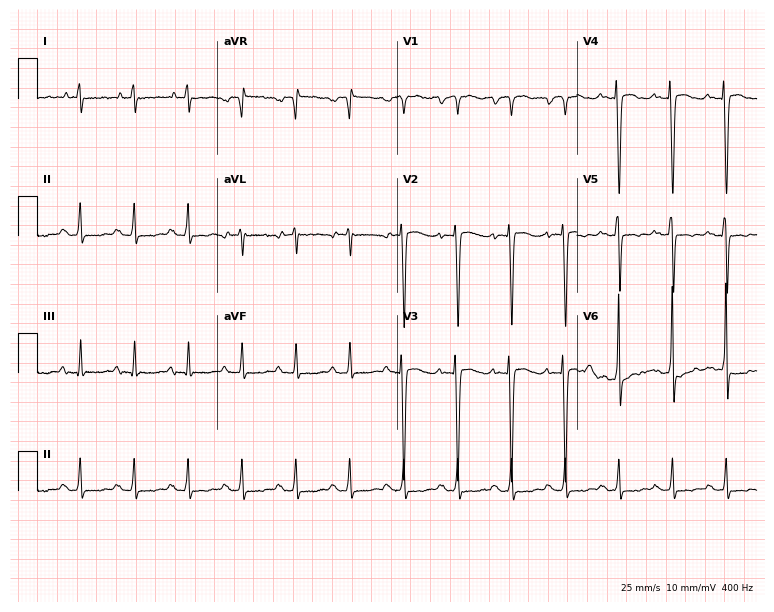
12-lead ECG (7.3-second recording at 400 Hz) from a female patient, 18 years old. Findings include sinus tachycardia (a sinus rate of 100 beats per minute or more).